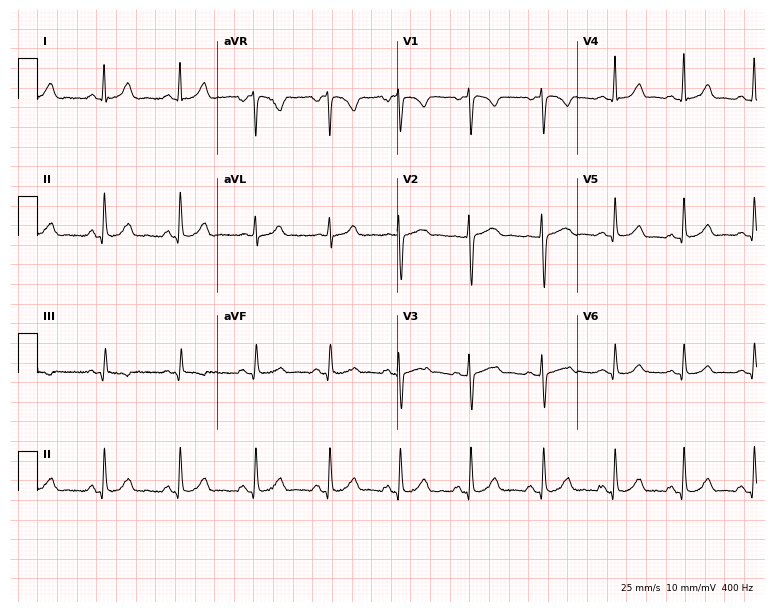
Resting 12-lead electrocardiogram. Patient: a female, 23 years old. Read as a normal ECG.